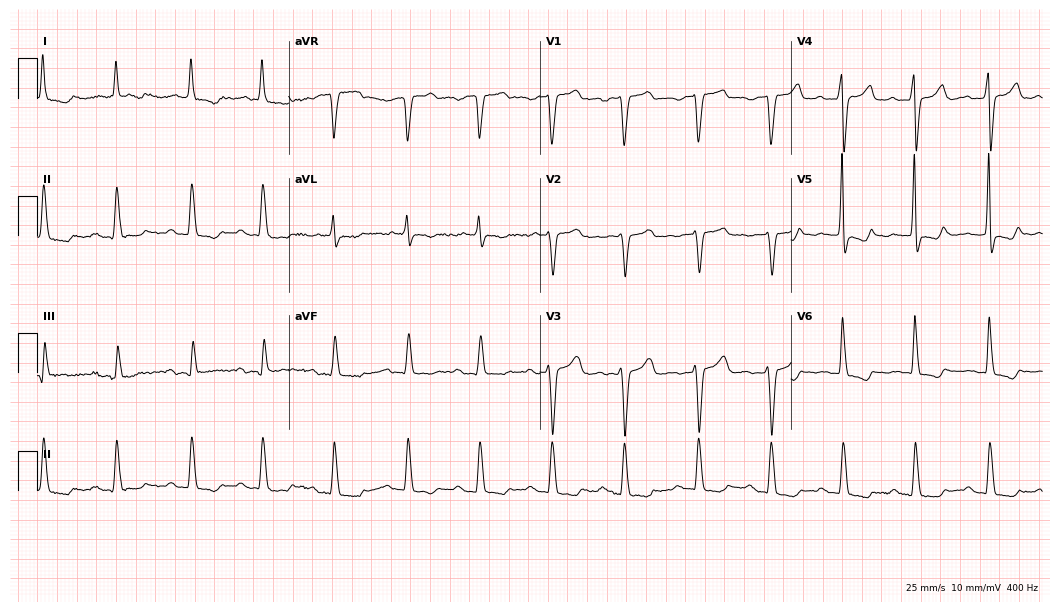
12-lead ECG from a female, 66 years old. Findings include first-degree AV block.